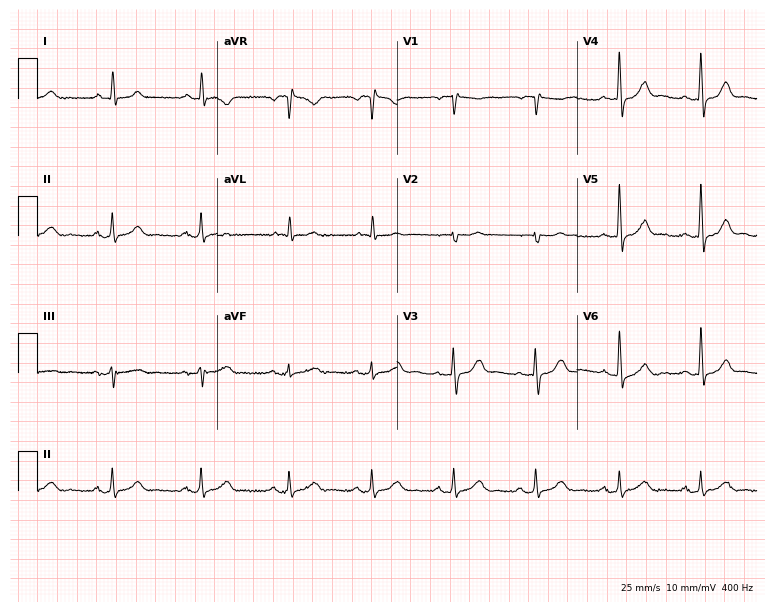
Standard 12-lead ECG recorded from a 69-year-old woman (7.3-second recording at 400 Hz). Read as a normal ECG.